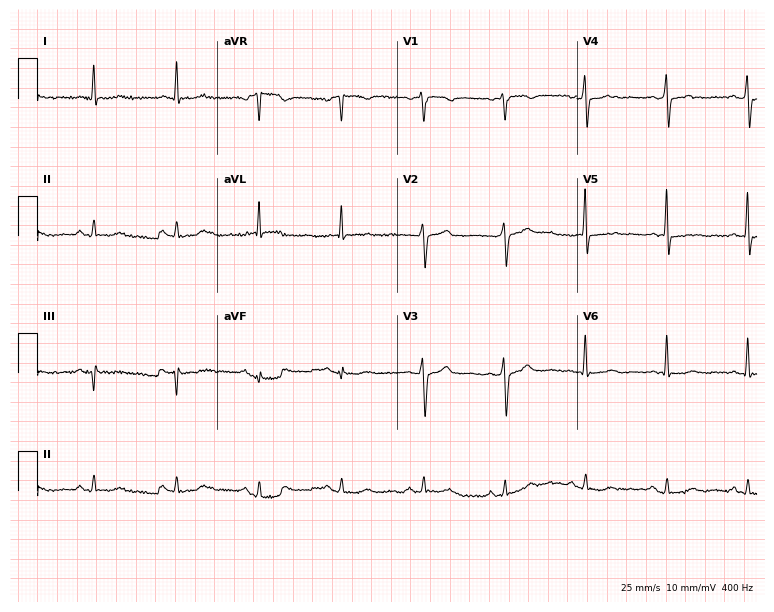
Electrocardiogram, a 63-year-old male patient. Of the six screened findings (first-degree AV block, right bundle branch block, left bundle branch block, sinus bradycardia, atrial fibrillation, sinus tachycardia), none is recorded.